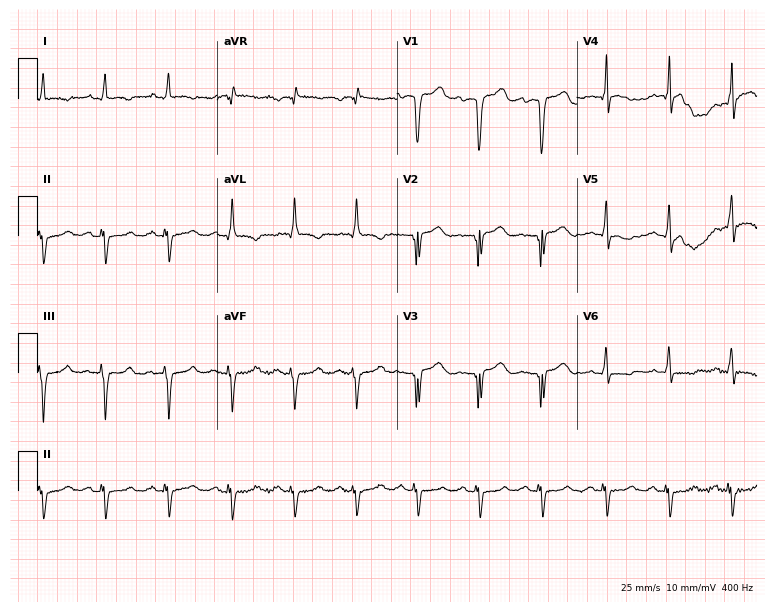
12-lead ECG from a male, 82 years old. Screened for six findings — first-degree AV block, right bundle branch block (RBBB), left bundle branch block (LBBB), sinus bradycardia, atrial fibrillation (AF), sinus tachycardia — none is recorded.